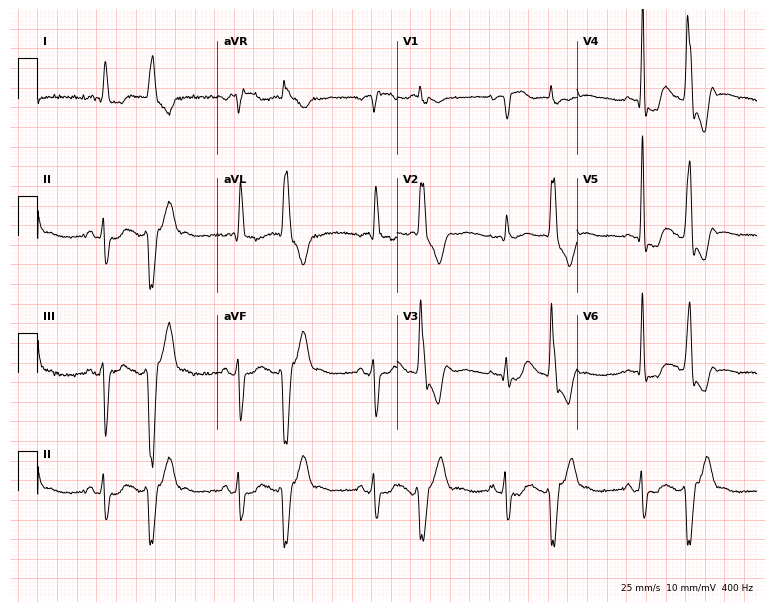
Resting 12-lead electrocardiogram (7.3-second recording at 400 Hz). Patient: a woman, 73 years old. None of these six findings is recorded: first-degree AV block, right bundle branch block, left bundle branch block, sinus bradycardia, atrial fibrillation, sinus tachycardia. Other findings, if any, are not listed.